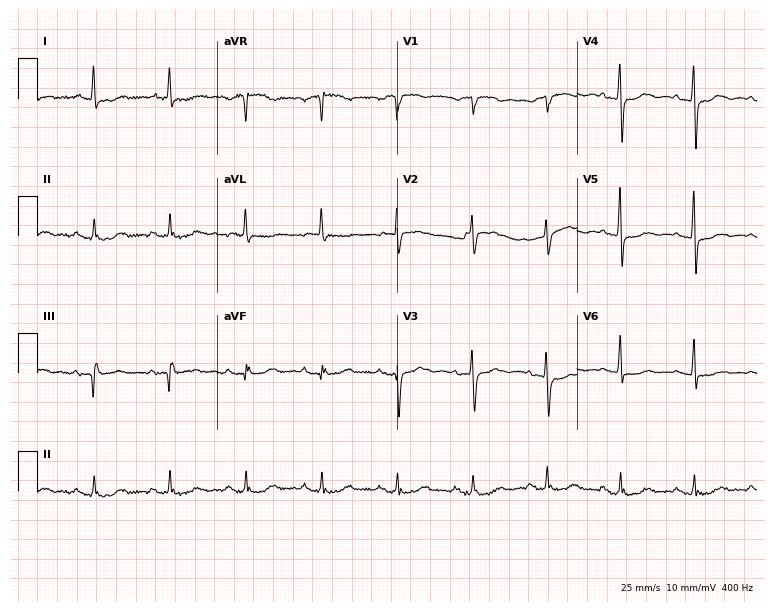
Standard 12-lead ECG recorded from a 78-year-old female patient (7.3-second recording at 400 Hz). None of these six findings is recorded: first-degree AV block, right bundle branch block (RBBB), left bundle branch block (LBBB), sinus bradycardia, atrial fibrillation (AF), sinus tachycardia. Findings outside these six are not listed.